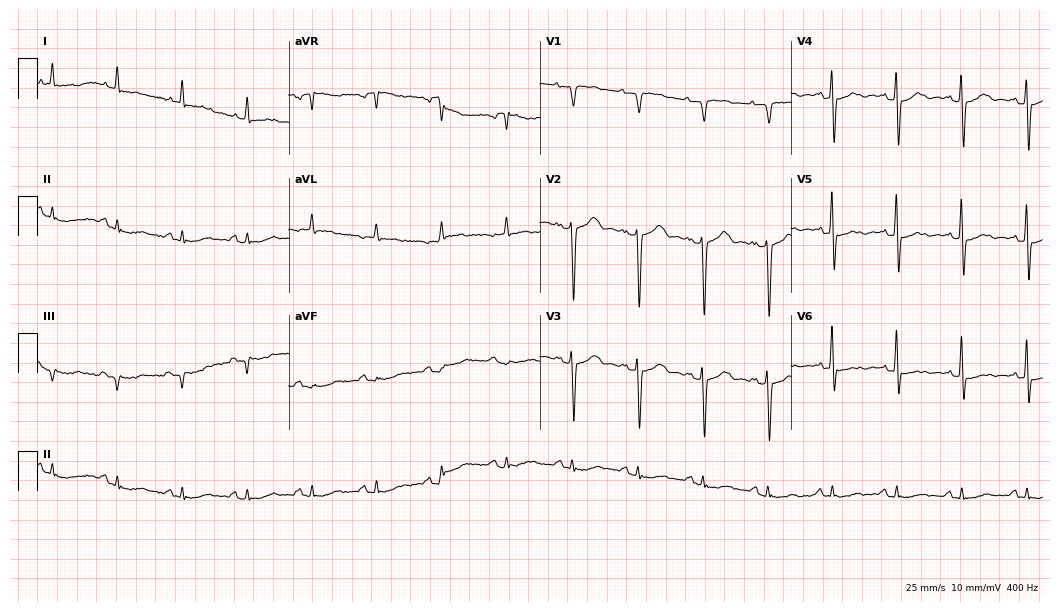
Standard 12-lead ECG recorded from an 80-year-old female patient (10.2-second recording at 400 Hz). None of these six findings is recorded: first-degree AV block, right bundle branch block (RBBB), left bundle branch block (LBBB), sinus bradycardia, atrial fibrillation (AF), sinus tachycardia. Only these six findings were labelled.